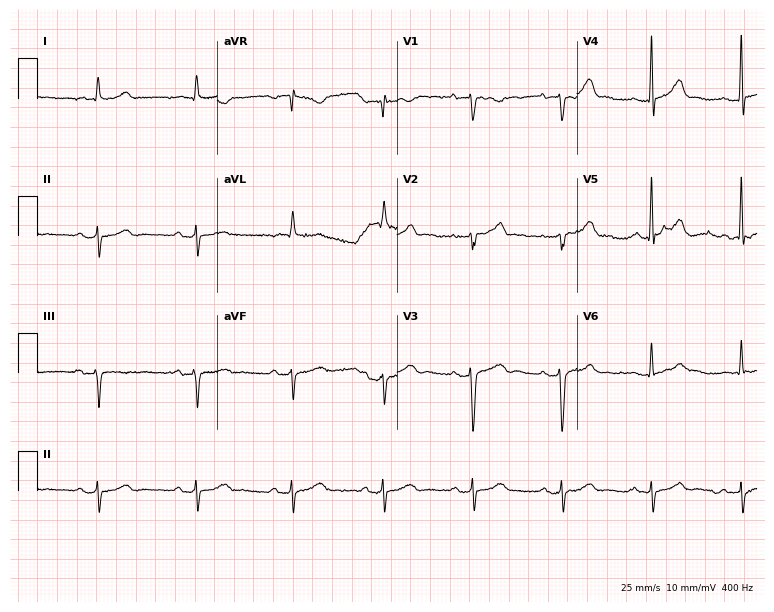
Electrocardiogram (7.3-second recording at 400 Hz), a woman, 86 years old. Of the six screened findings (first-degree AV block, right bundle branch block, left bundle branch block, sinus bradycardia, atrial fibrillation, sinus tachycardia), none is recorded.